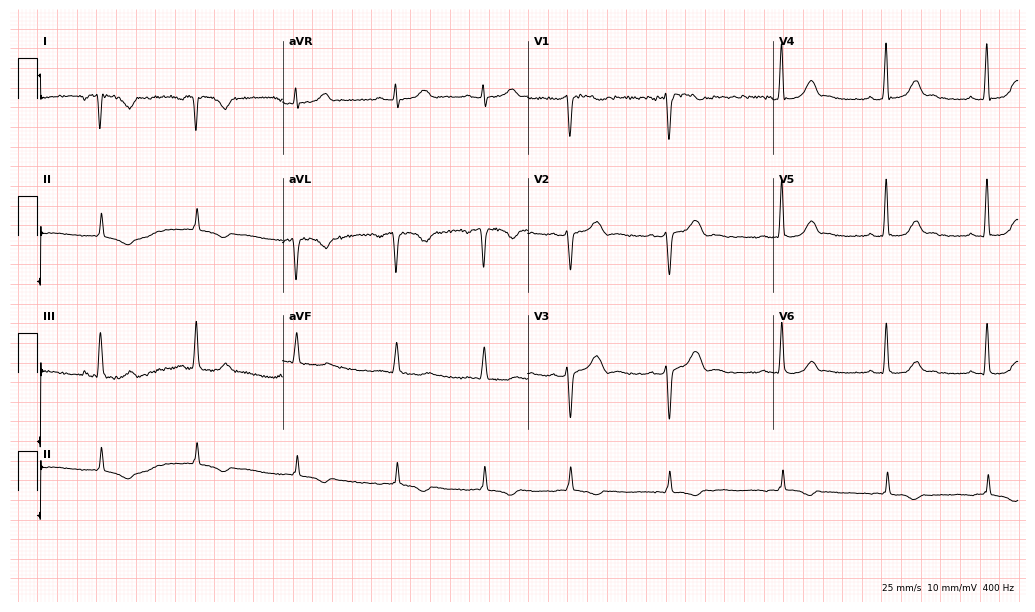
Standard 12-lead ECG recorded from a female, 29 years old. None of these six findings is recorded: first-degree AV block, right bundle branch block (RBBB), left bundle branch block (LBBB), sinus bradycardia, atrial fibrillation (AF), sinus tachycardia. Other findings, if any, are not listed.